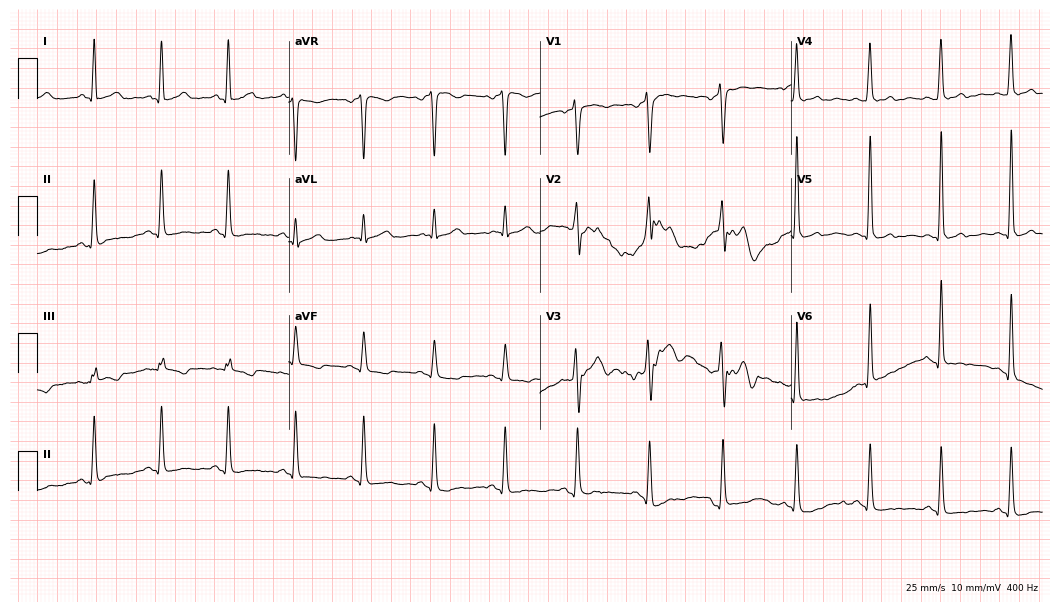
Electrocardiogram (10.2-second recording at 400 Hz), a male patient, 45 years old. Overall reading on record: normal ECG.